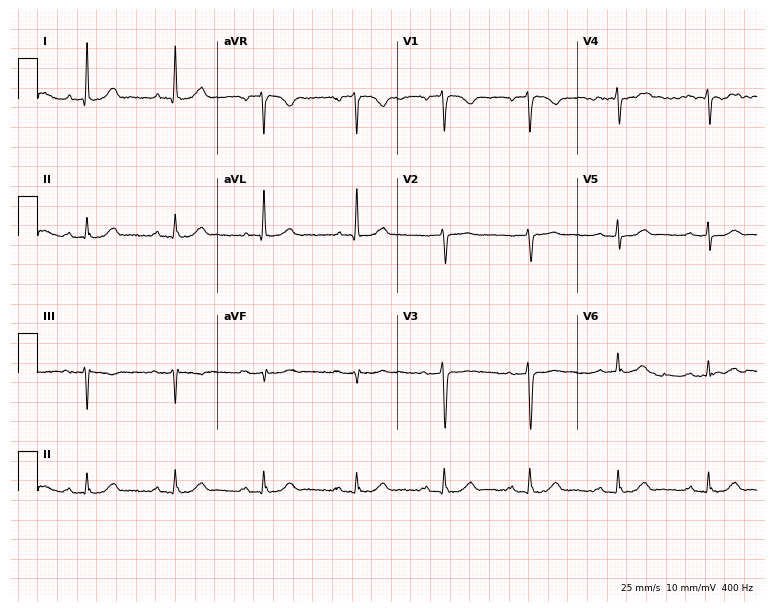
Standard 12-lead ECG recorded from a woman, 71 years old. None of these six findings is recorded: first-degree AV block, right bundle branch block, left bundle branch block, sinus bradycardia, atrial fibrillation, sinus tachycardia. Only these six findings were labelled.